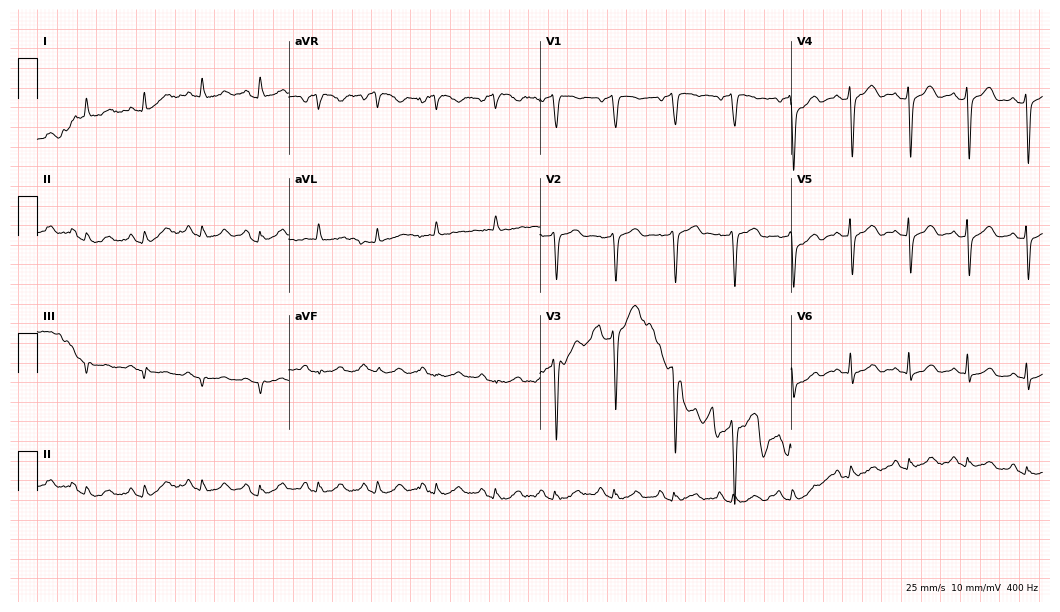
ECG — a 65-year-old male patient. Screened for six findings — first-degree AV block, right bundle branch block, left bundle branch block, sinus bradycardia, atrial fibrillation, sinus tachycardia — none is recorded.